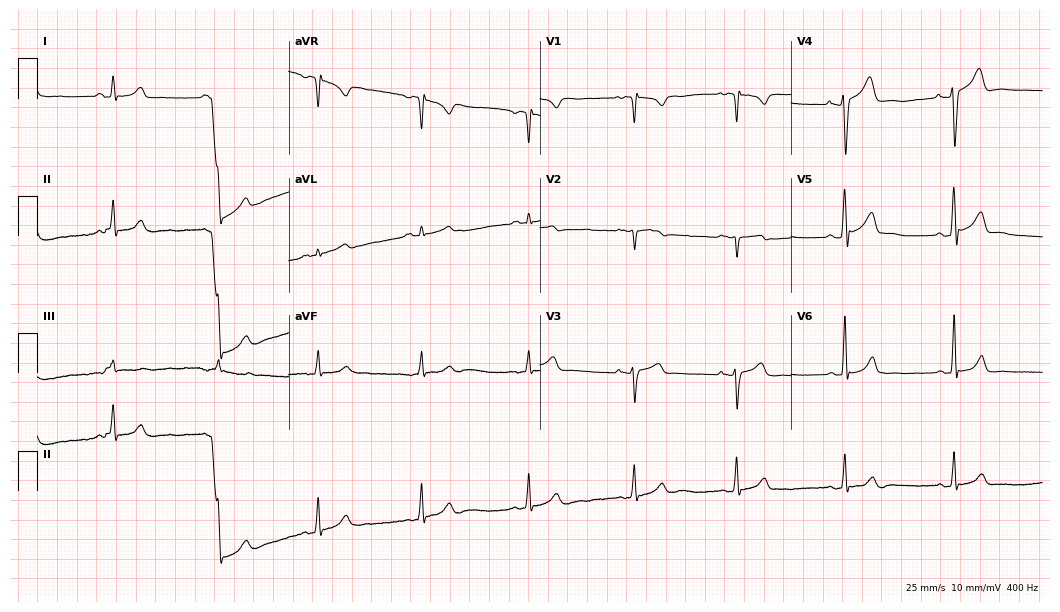
Standard 12-lead ECG recorded from a male patient, 29 years old (10.2-second recording at 400 Hz). None of these six findings is recorded: first-degree AV block, right bundle branch block, left bundle branch block, sinus bradycardia, atrial fibrillation, sinus tachycardia. Only these six findings were labelled.